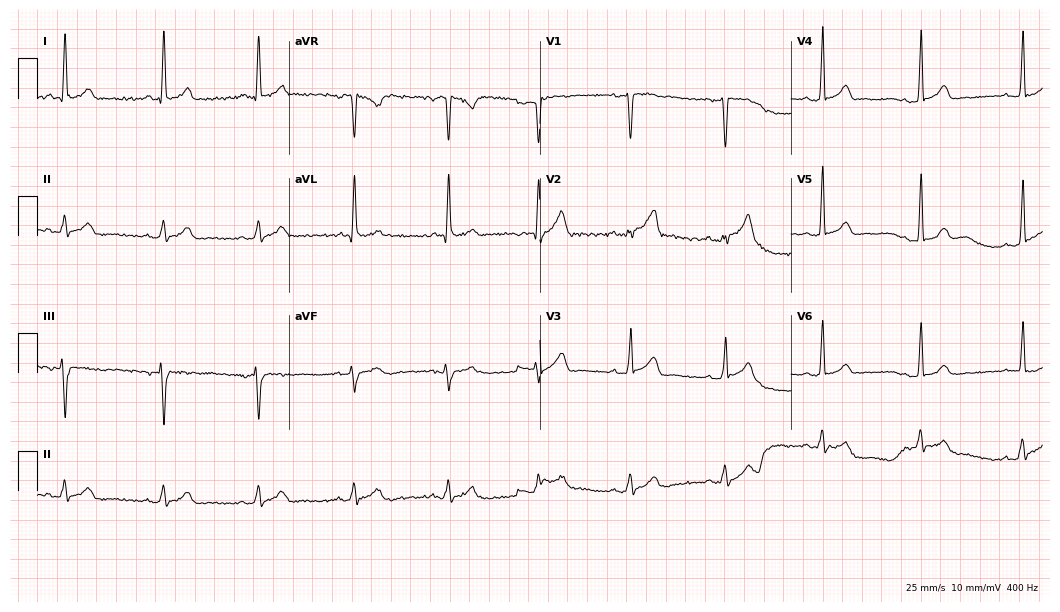
Resting 12-lead electrocardiogram (10.2-second recording at 400 Hz). Patient: a male, 35 years old. Read as a normal ECG.